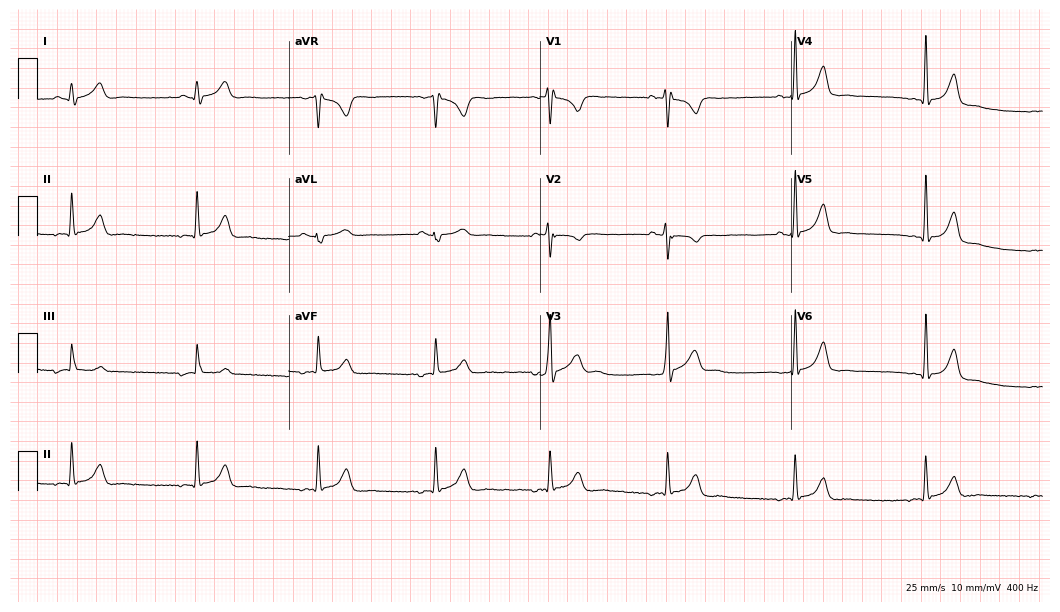
Electrocardiogram (10.2-second recording at 400 Hz), a 26-year-old man. Interpretation includes sinus bradycardia (a sinus rate of 50 beats per minute or less).